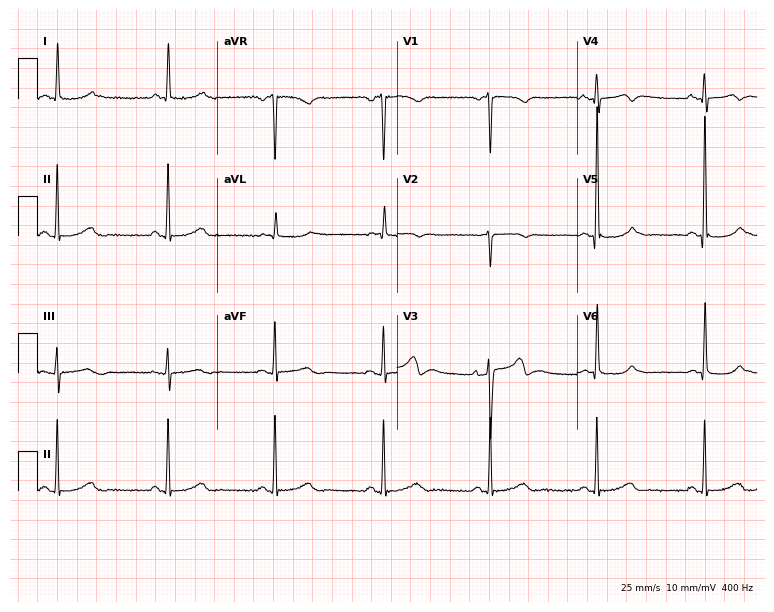
ECG (7.3-second recording at 400 Hz) — a woman, 60 years old. Screened for six findings — first-degree AV block, right bundle branch block, left bundle branch block, sinus bradycardia, atrial fibrillation, sinus tachycardia — none is recorded. Other findings, if any, are not listed.